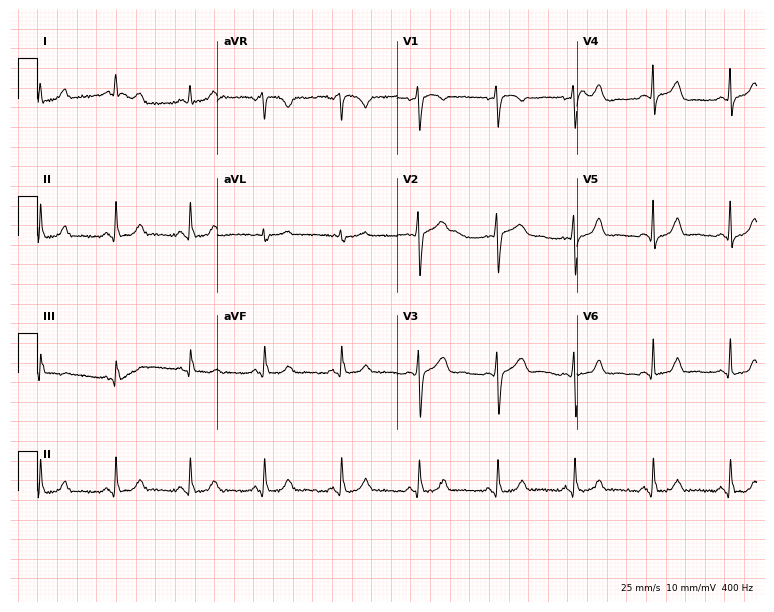
ECG (7.3-second recording at 400 Hz) — a 59-year-old woman. Labelled as a normal ECG.